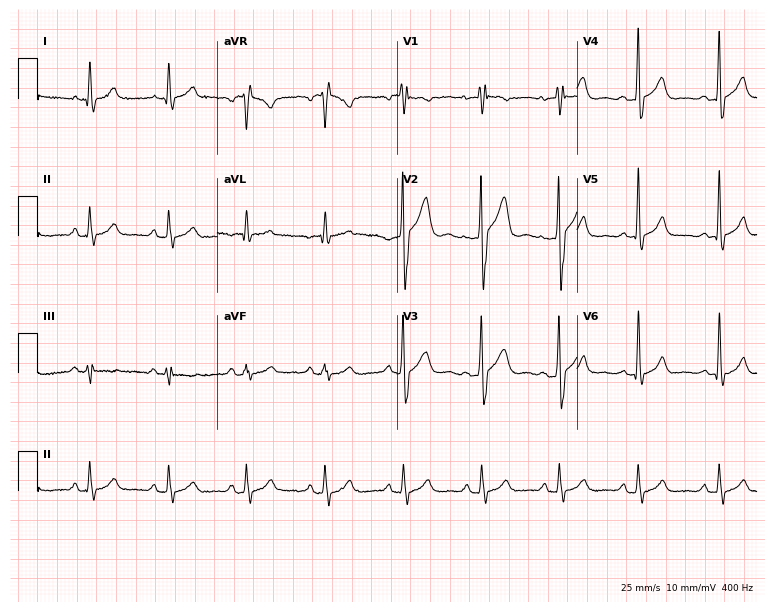
ECG — a 53-year-old male. Screened for six findings — first-degree AV block, right bundle branch block, left bundle branch block, sinus bradycardia, atrial fibrillation, sinus tachycardia — none is recorded. Other findings, if any, are not listed.